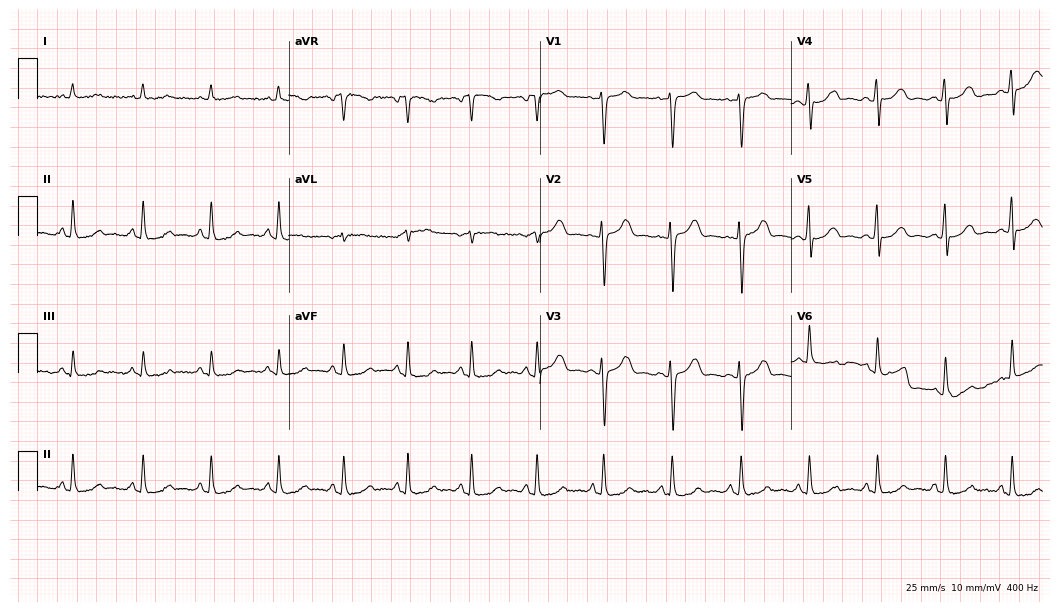
Resting 12-lead electrocardiogram. Patient: a 53-year-old female. Read as a normal ECG.